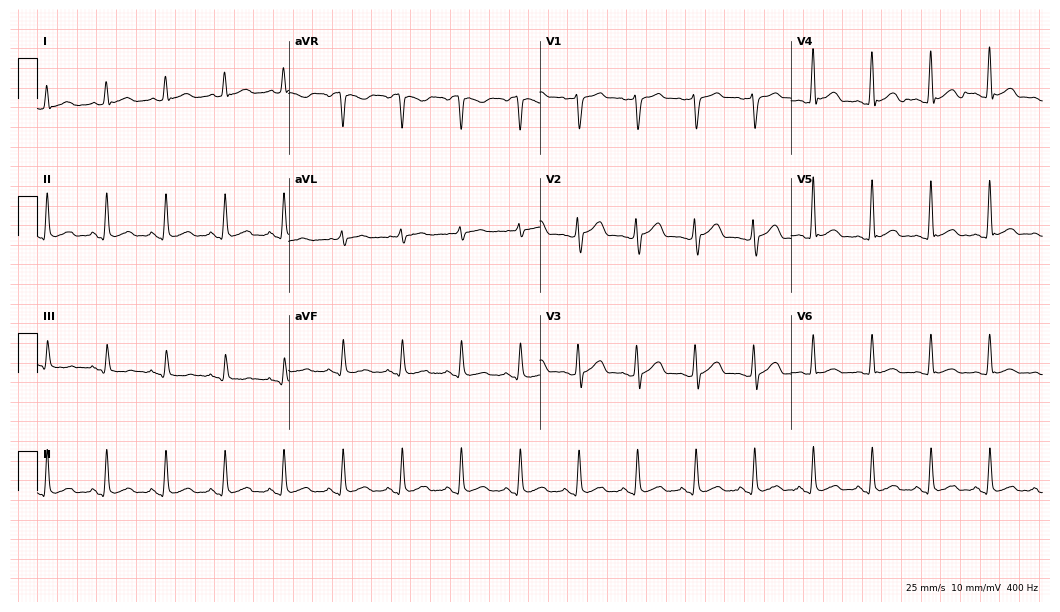
12-lead ECG from a male patient, 50 years old (10.2-second recording at 400 Hz). Recorded interpretation: within normal limits.